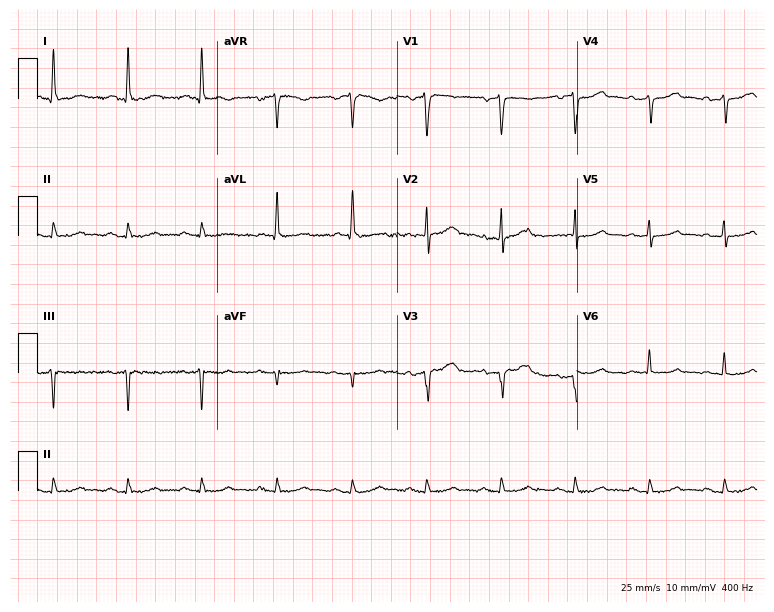
ECG (7.3-second recording at 400 Hz) — a woman, 57 years old. Screened for six findings — first-degree AV block, right bundle branch block, left bundle branch block, sinus bradycardia, atrial fibrillation, sinus tachycardia — none is recorded.